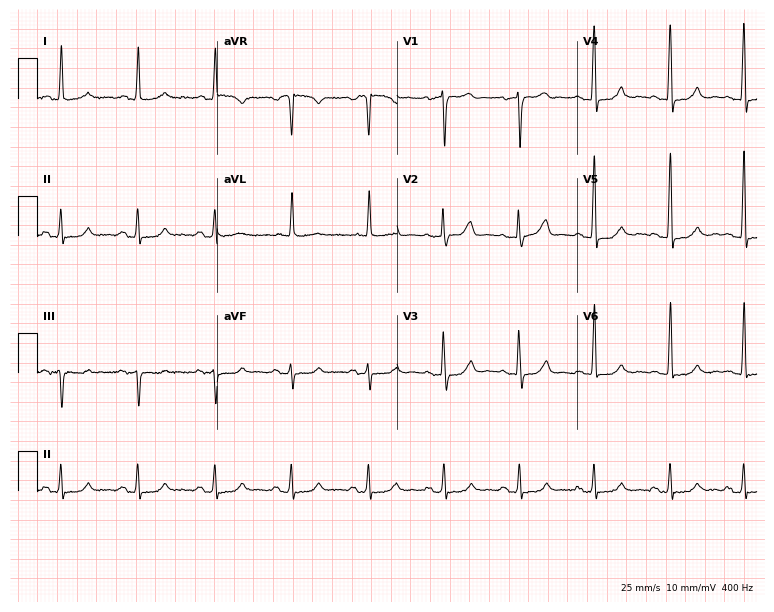
Standard 12-lead ECG recorded from a female, 71 years old. Read as a normal ECG.